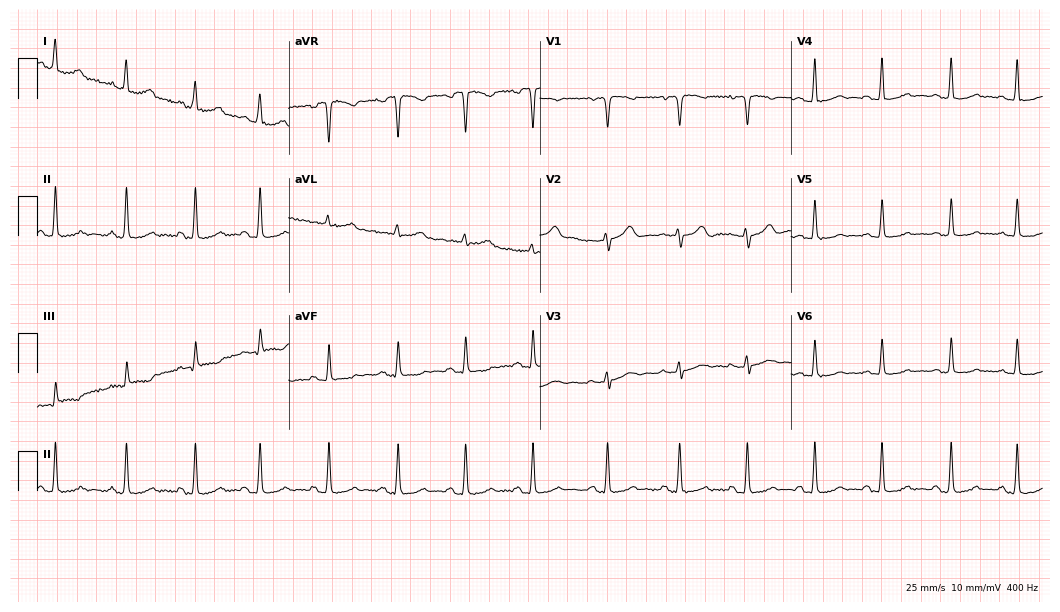
ECG — a female patient, 36 years old. Labelled as a normal ECG.